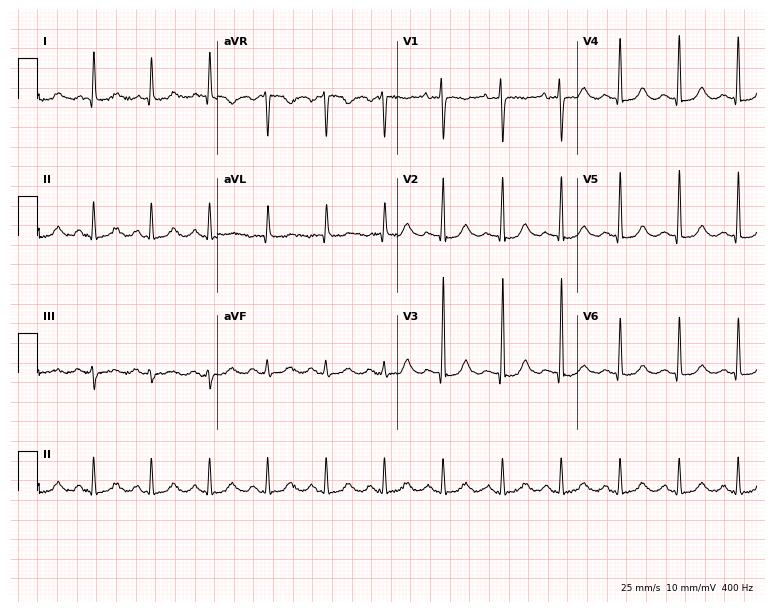
12-lead ECG from a woman, 85 years old. Findings include sinus tachycardia (a sinus rate of 100 beats per minute or more).